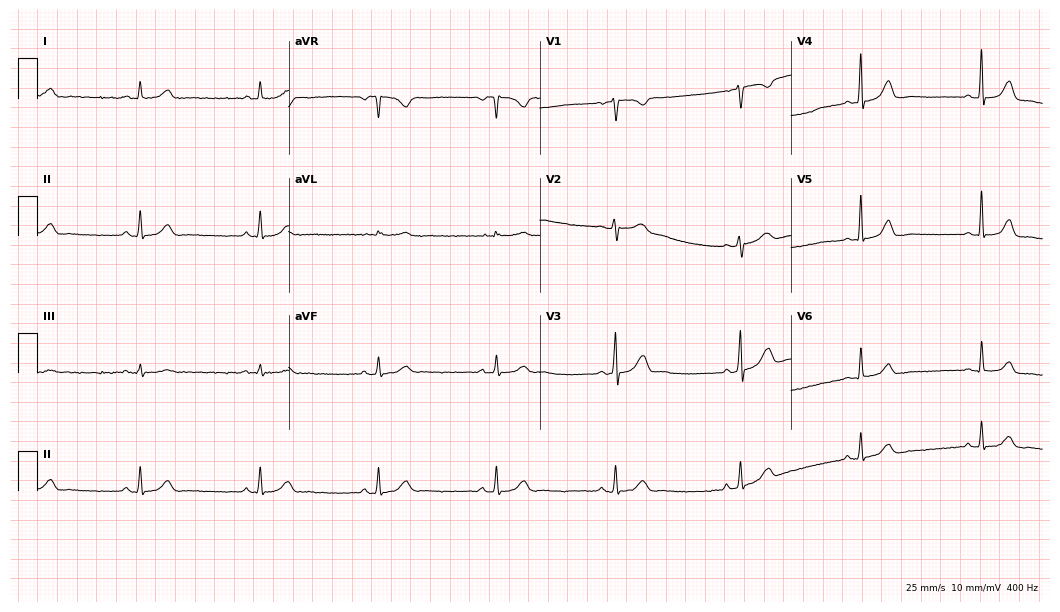
Standard 12-lead ECG recorded from a 33-year-old woman (10.2-second recording at 400 Hz). Read as a normal ECG.